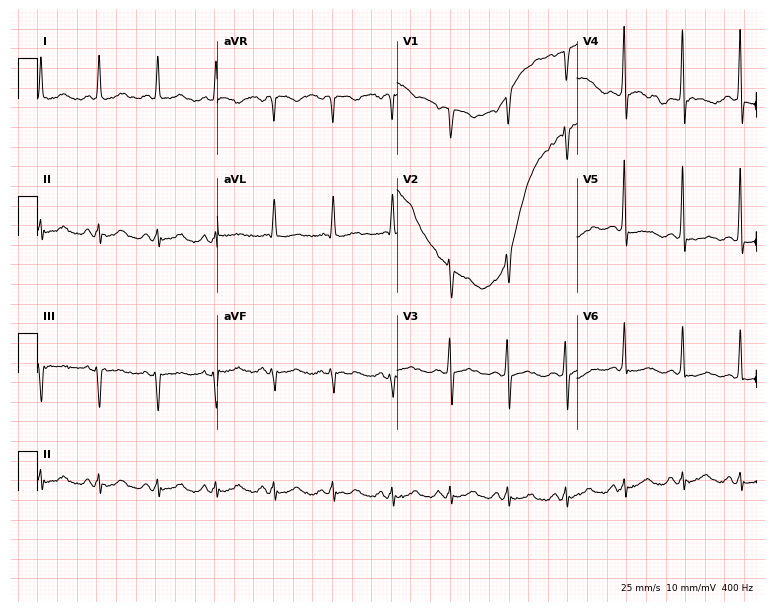
Electrocardiogram (7.3-second recording at 400 Hz), a 50-year-old woman. Of the six screened findings (first-degree AV block, right bundle branch block (RBBB), left bundle branch block (LBBB), sinus bradycardia, atrial fibrillation (AF), sinus tachycardia), none is recorded.